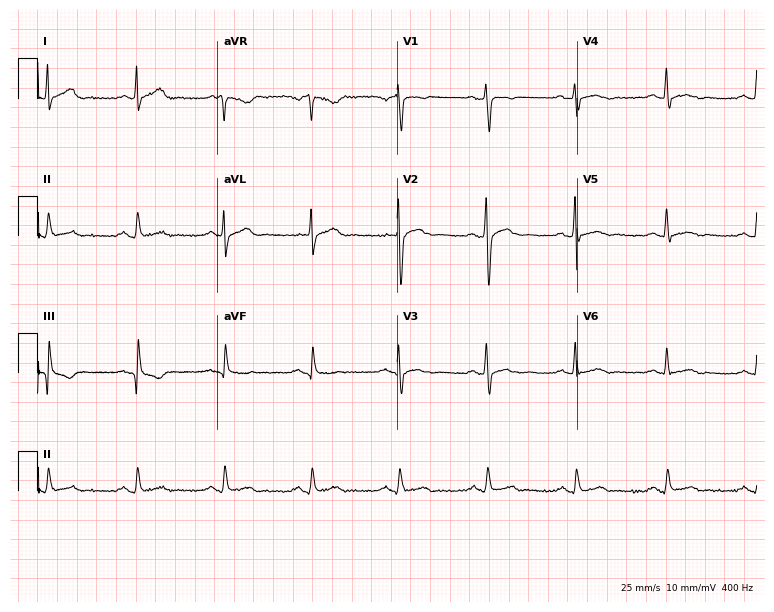
Electrocardiogram (7.3-second recording at 400 Hz), a 45-year-old male. Of the six screened findings (first-degree AV block, right bundle branch block, left bundle branch block, sinus bradycardia, atrial fibrillation, sinus tachycardia), none is recorded. Only these six findings were labelled.